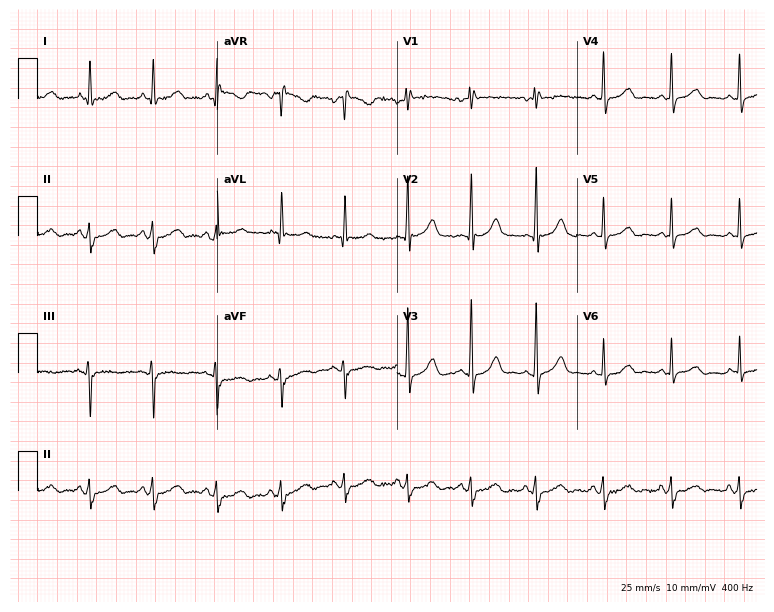
12-lead ECG from a 59-year-old woman. No first-degree AV block, right bundle branch block, left bundle branch block, sinus bradycardia, atrial fibrillation or sinus tachycardia recorded for this tracing. Other findings, if any, are not listed.